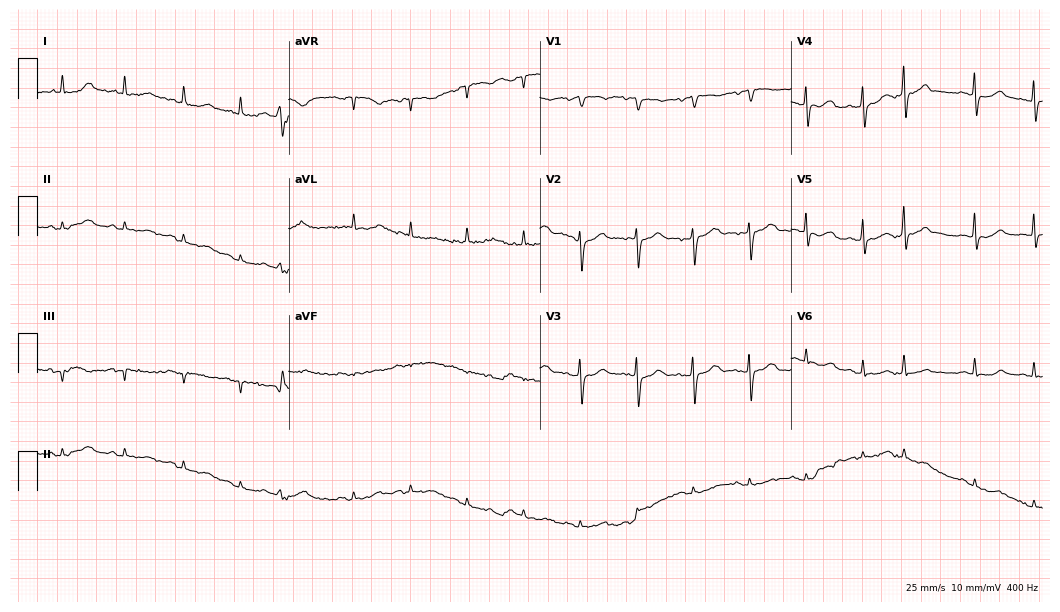
Electrocardiogram, a female patient, 84 years old. Of the six screened findings (first-degree AV block, right bundle branch block (RBBB), left bundle branch block (LBBB), sinus bradycardia, atrial fibrillation (AF), sinus tachycardia), none is recorded. Other findings, if any, are not listed.